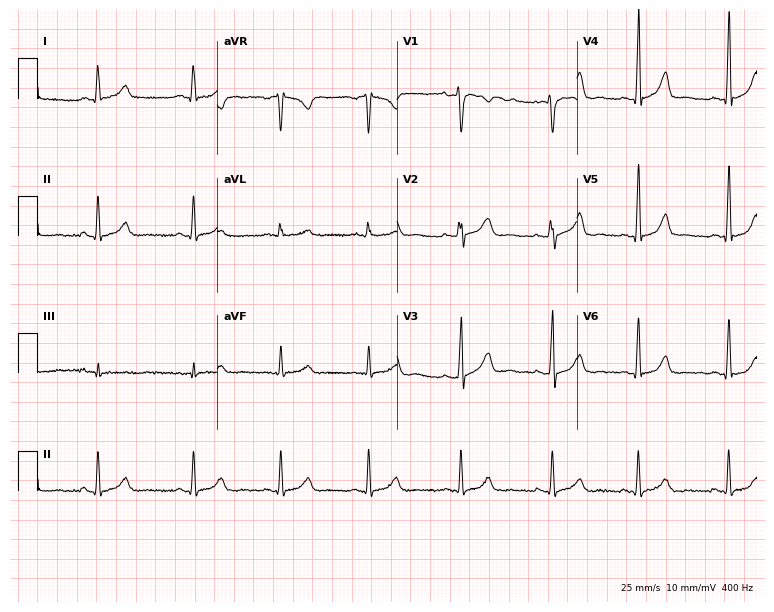
Standard 12-lead ECG recorded from a 43-year-old female patient (7.3-second recording at 400 Hz). None of these six findings is recorded: first-degree AV block, right bundle branch block (RBBB), left bundle branch block (LBBB), sinus bradycardia, atrial fibrillation (AF), sinus tachycardia.